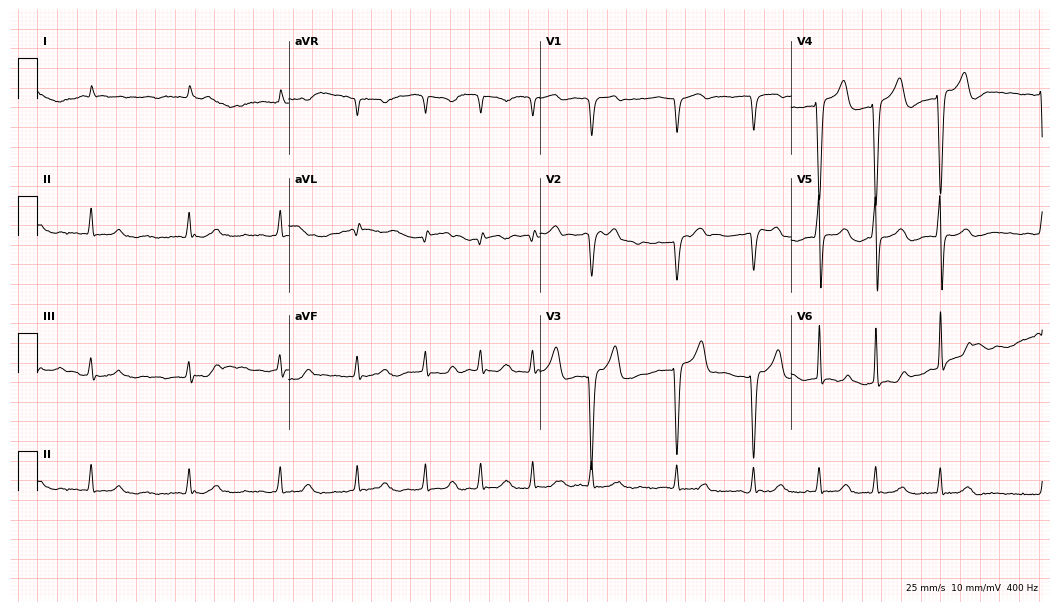
Resting 12-lead electrocardiogram (10.2-second recording at 400 Hz). Patient: a male, 84 years old. The tracing shows atrial fibrillation.